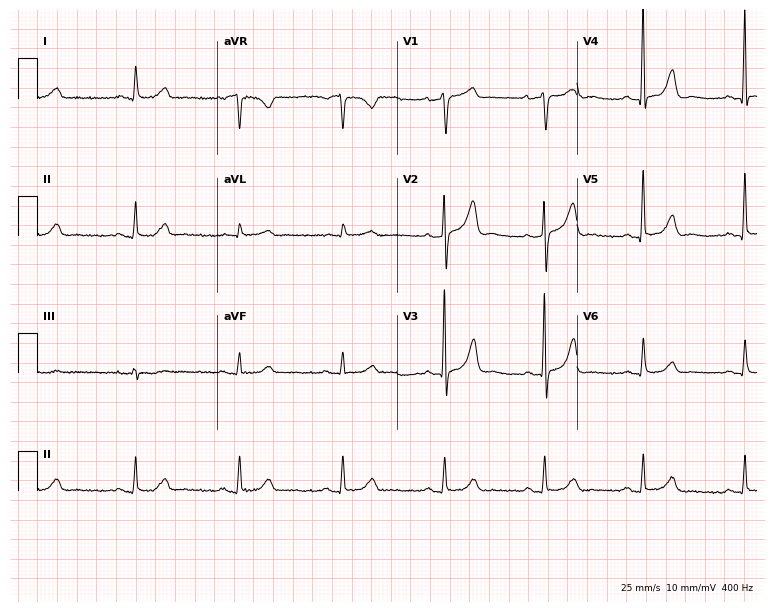
Resting 12-lead electrocardiogram (7.3-second recording at 400 Hz). Patient: a man, 77 years old. None of these six findings is recorded: first-degree AV block, right bundle branch block, left bundle branch block, sinus bradycardia, atrial fibrillation, sinus tachycardia.